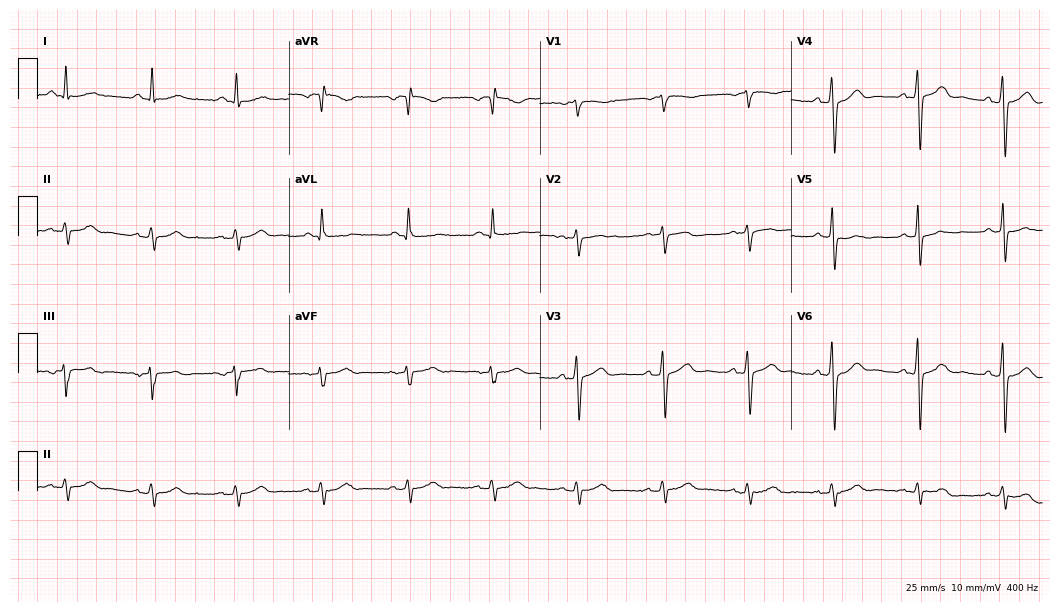
12-lead ECG (10.2-second recording at 400 Hz) from a 63-year-old man. Screened for six findings — first-degree AV block, right bundle branch block (RBBB), left bundle branch block (LBBB), sinus bradycardia, atrial fibrillation (AF), sinus tachycardia — none is recorded.